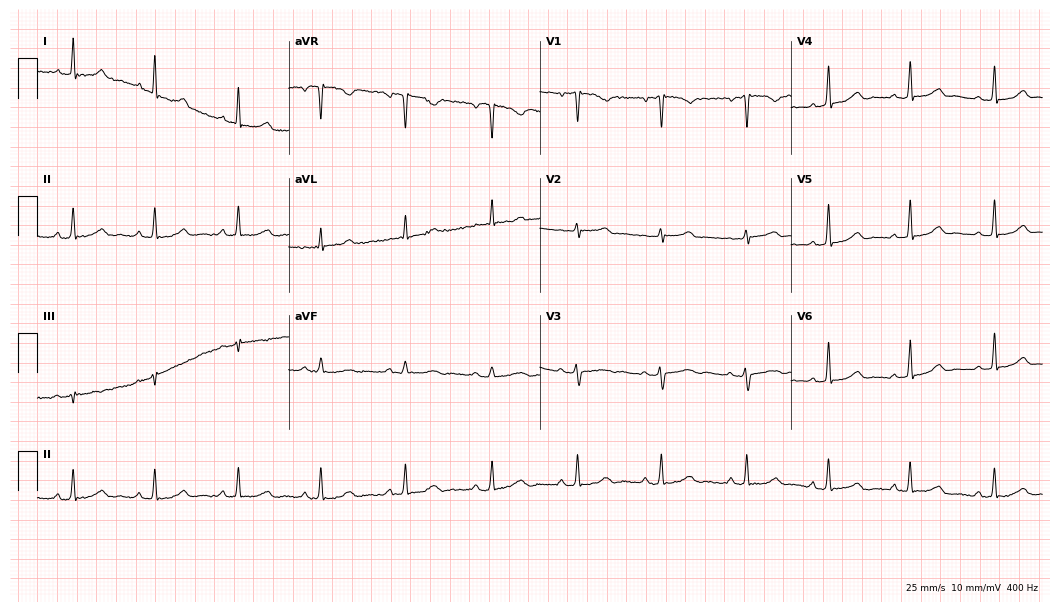
ECG — a 50-year-old female patient. Labelled as a normal ECG.